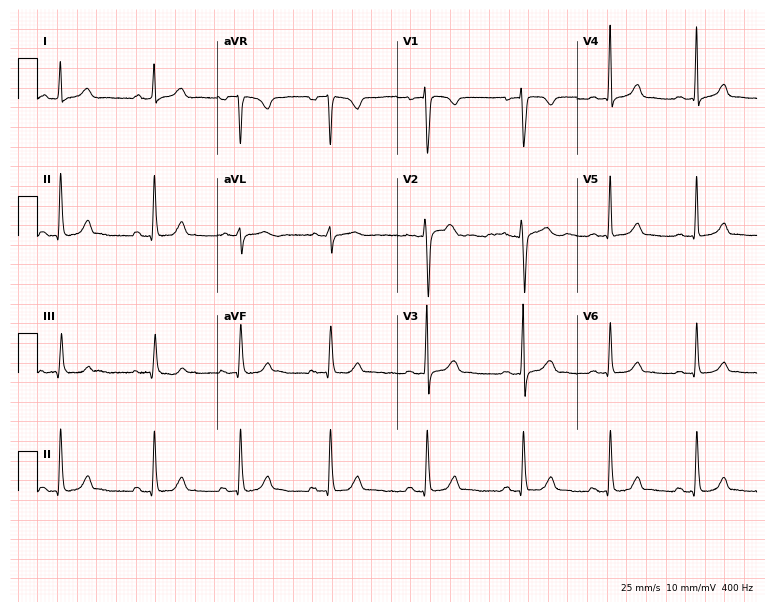
Resting 12-lead electrocardiogram. Patient: a 27-year-old female. Read as a normal ECG.